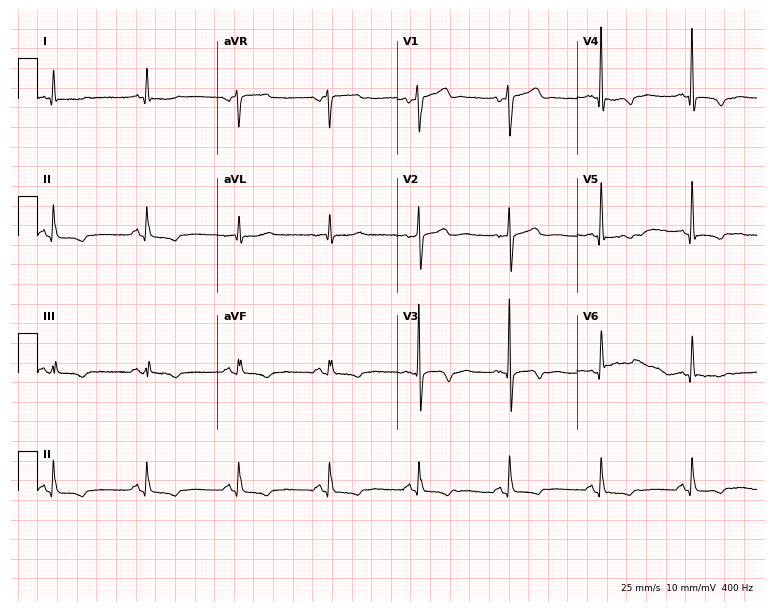
ECG (7.3-second recording at 400 Hz) — a 66-year-old male. Screened for six findings — first-degree AV block, right bundle branch block, left bundle branch block, sinus bradycardia, atrial fibrillation, sinus tachycardia — none is recorded. Only these six findings were labelled.